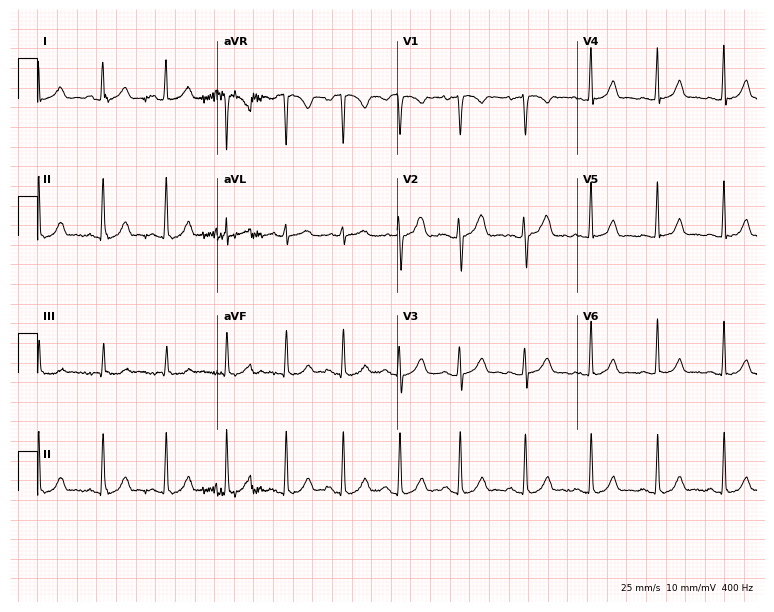
ECG — a 24-year-old female. Labelled as a normal ECG.